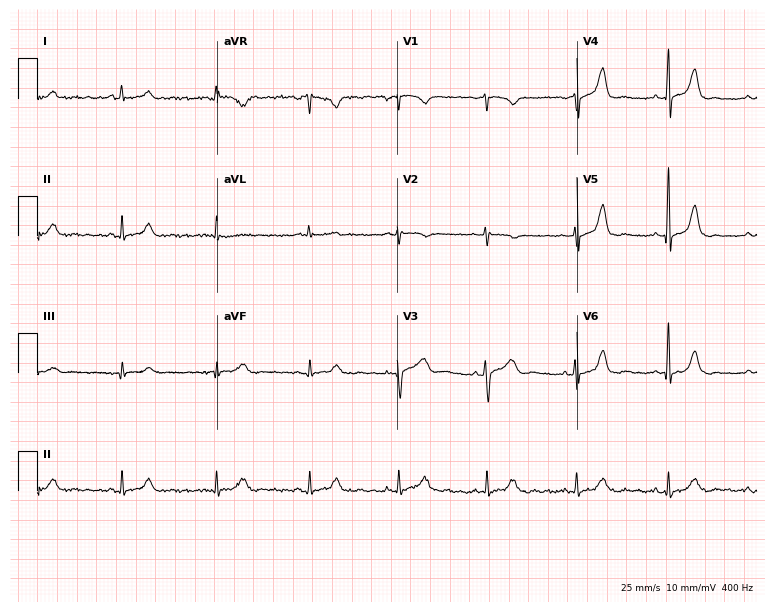
Resting 12-lead electrocardiogram (7.3-second recording at 400 Hz). Patient: a female, 58 years old. Read as a normal ECG.